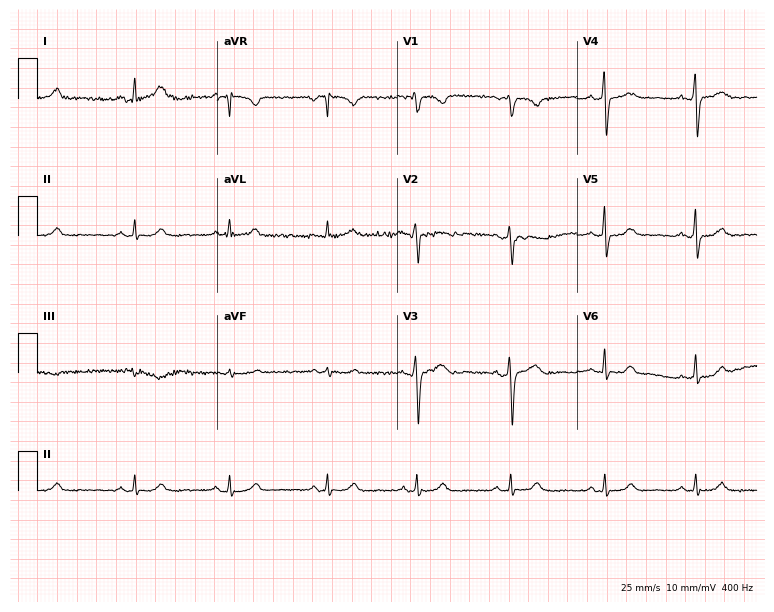
ECG (7.3-second recording at 400 Hz) — a woman, 45 years old. Labelled as a normal ECG.